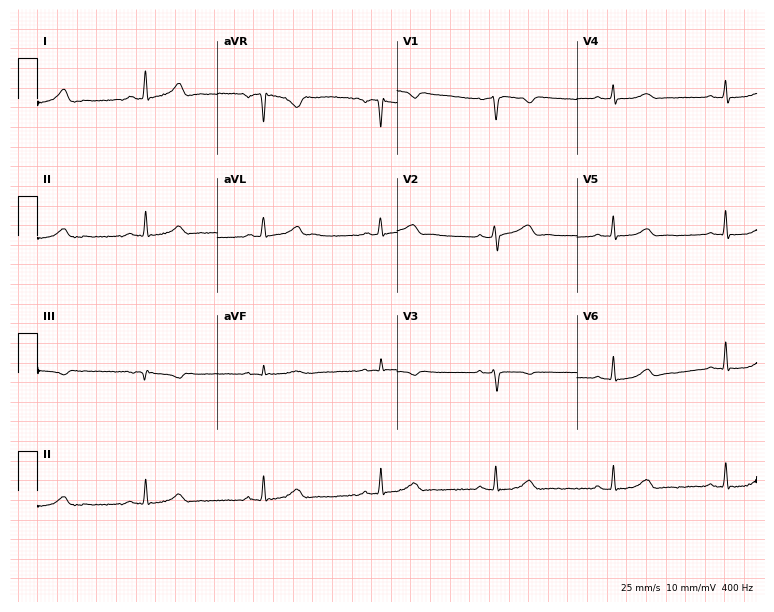
12-lead ECG from a 35-year-old female (7.3-second recording at 400 Hz). Shows sinus bradycardia (a sinus rate of 50 beats per minute or less).